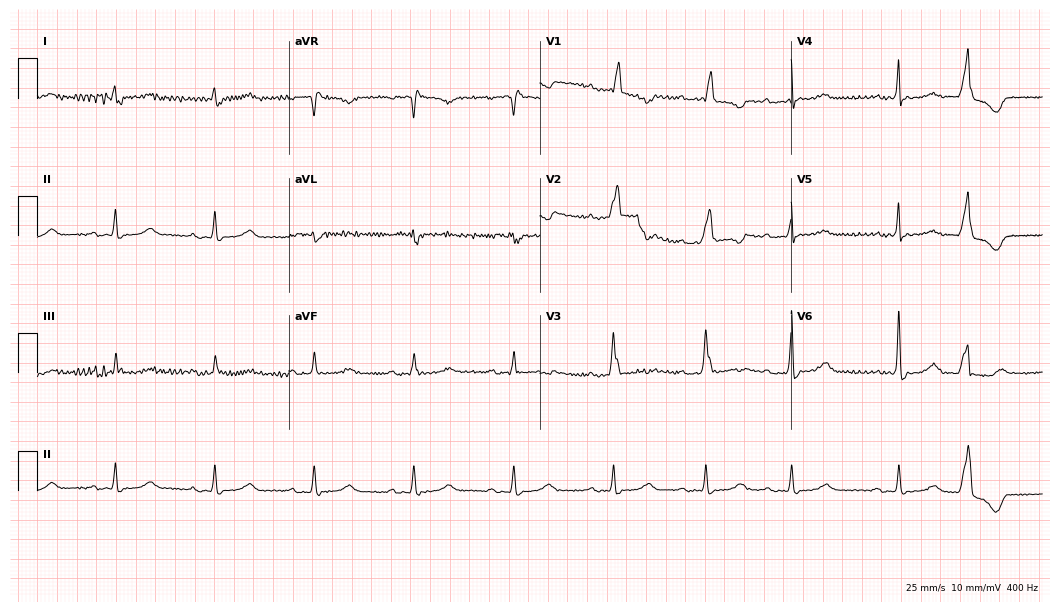
Resting 12-lead electrocardiogram. Patient: a 77-year-old male. The tracing shows right bundle branch block.